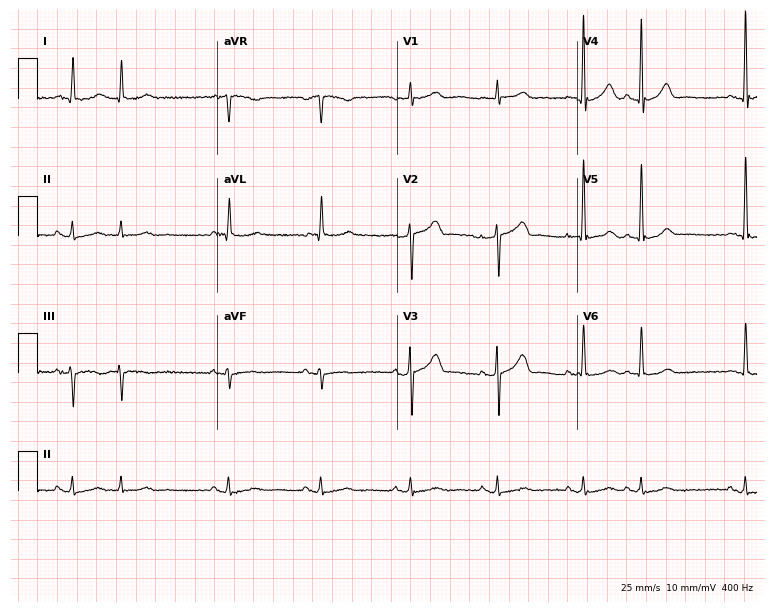
Electrocardiogram (7.3-second recording at 400 Hz), a male, 82 years old. Overall reading on record: normal ECG.